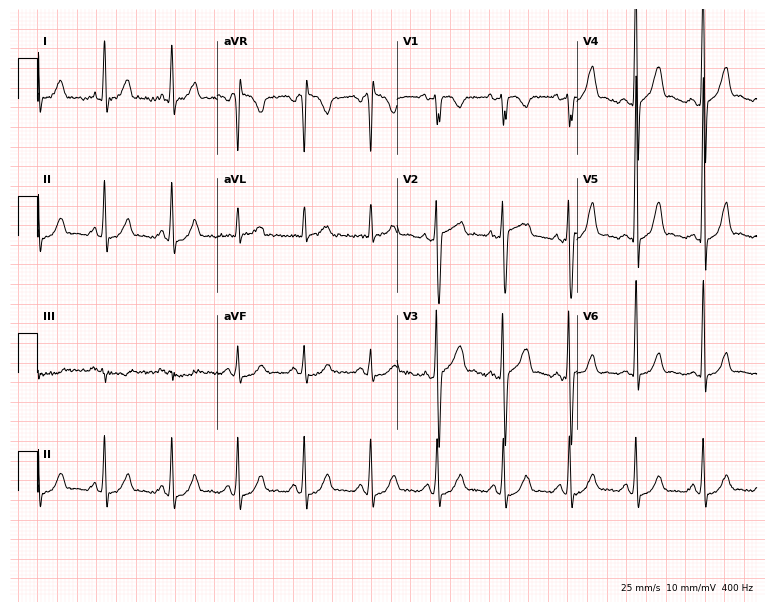
ECG (7.3-second recording at 400 Hz) — a 61-year-old male patient. Labelled as a normal ECG.